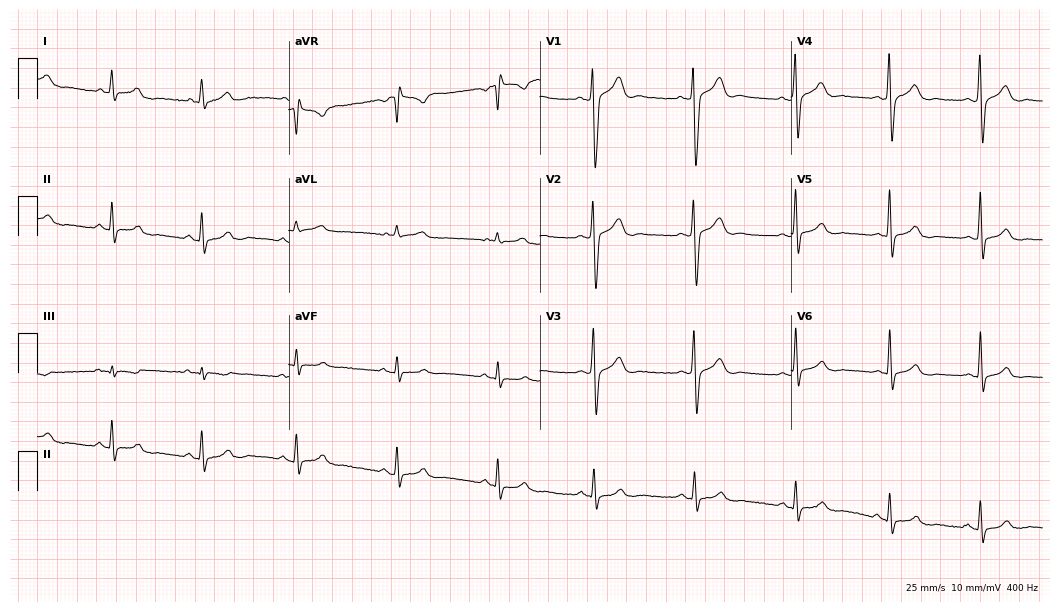
ECG — a 39-year-old male patient. Labelled as a normal ECG.